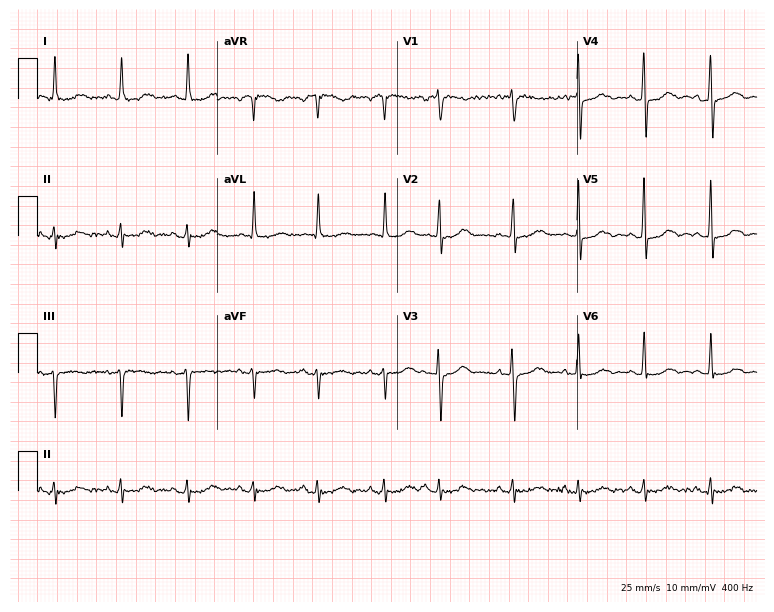
12-lead ECG from a 69-year-old female (7.3-second recording at 400 Hz). No first-degree AV block, right bundle branch block, left bundle branch block, sinus bradycardia, atrial fibrillation or sinus tachycardia recorded for this tracing. Only these six findings were labelled.